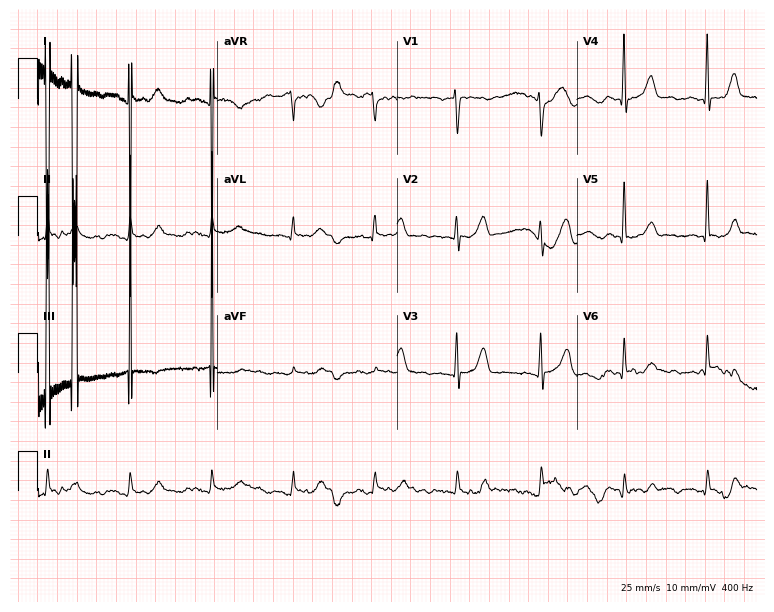
Resting 12-lead electrocardiogram (7.3-second recording at 400 Hz). Patient: a female, 65 years old. Read as a normal ECG.